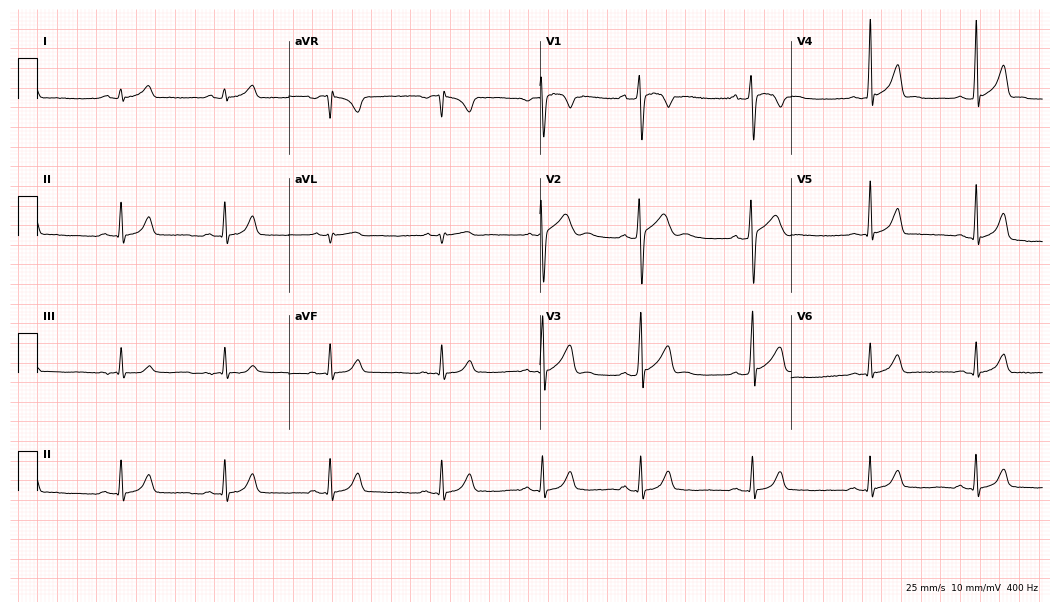
12-lead ECG from a man, 19 years old (10.2-second recording at 400 Hz). Recorded interpretation: within normal limits.